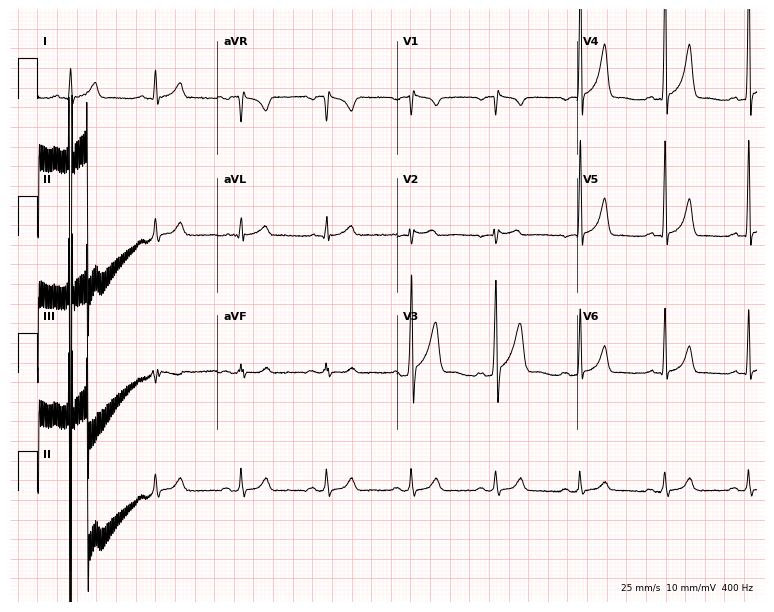
Standard 12-lead ECG recorded from a 41-year-old male (7.3-second recording at 400 Hz). Read as a normal ECG.